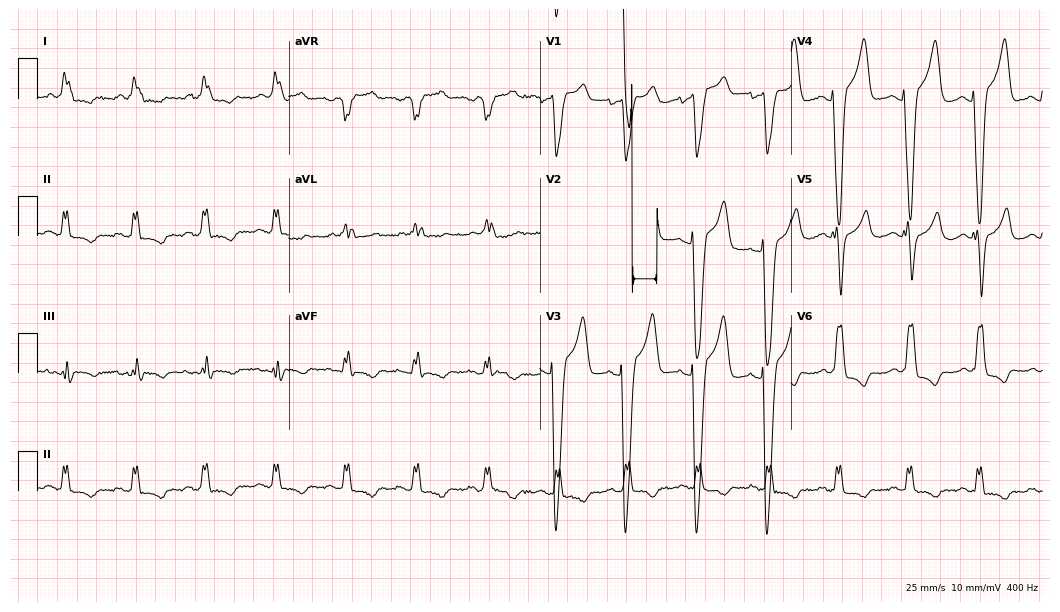
Resting 12-lead electrocardiogram (10.2-second recording at 400 Hz). Patient: a 72-year-old female. None of these six findings is recorded: first-degree AV block, right bundle branch block, left bundle branch block, sinus bradycardia, atrial fibrillation, sinus tachycardia. Other findings, if any, are not listed.